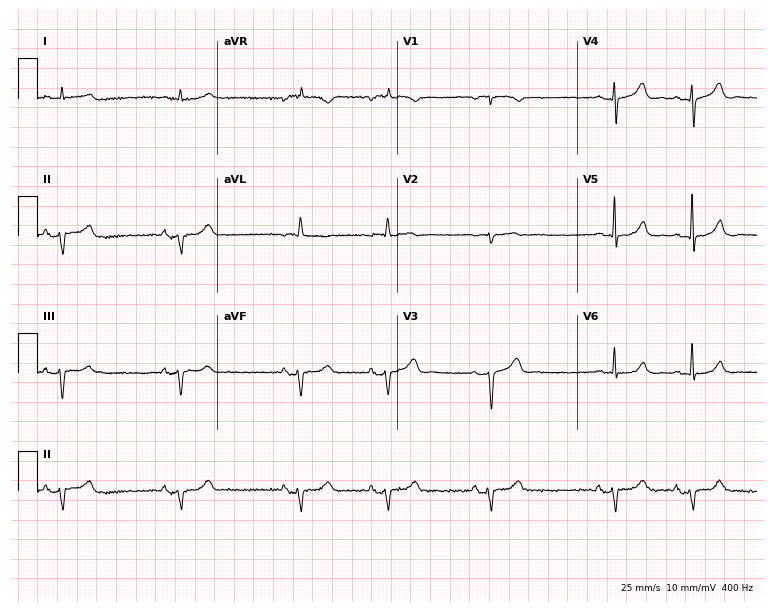
Resting 12-lead electrocardiogram. Patient: an 83-year-old man. Read as a normal ECG.